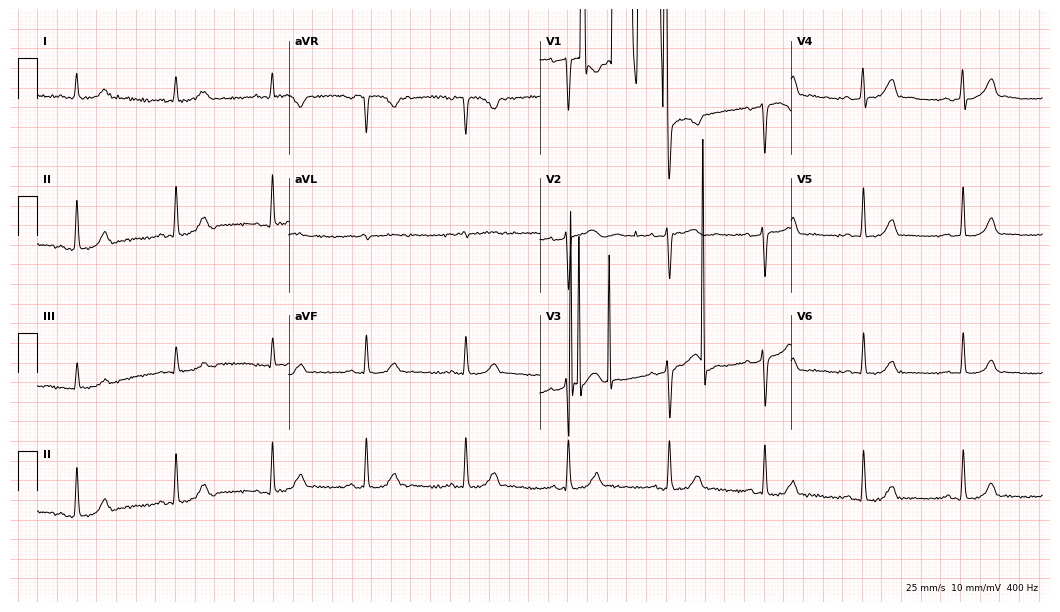
12-lead ECG (10.2-second recording at 400 Hz) from a 44-year-old female patient. Screened for six findings — first-degree AV block, right bundle branch block, left bundle branch block, sinus bradycardia, atrial fibrillation, sinus tachycardia — none is recorded. Only these six findings were labelled.